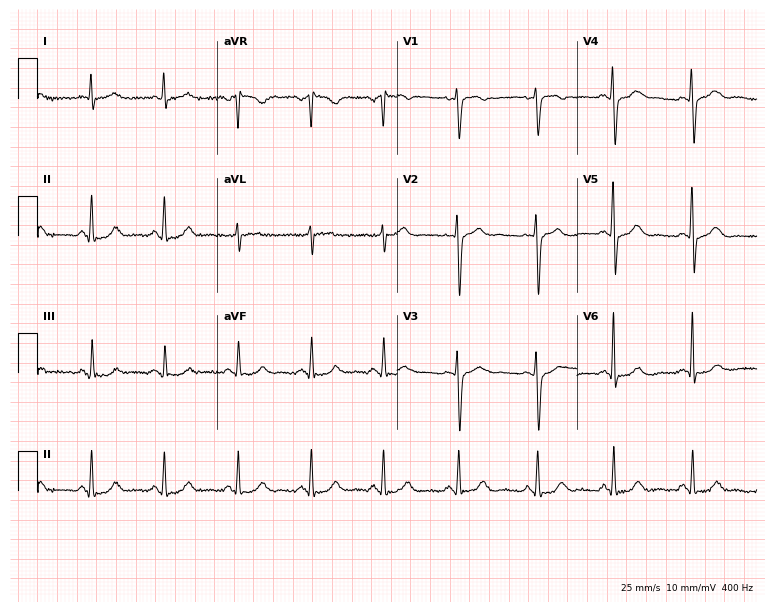
ECG — a 60-year-old woman. Labelled as a normal ECG.